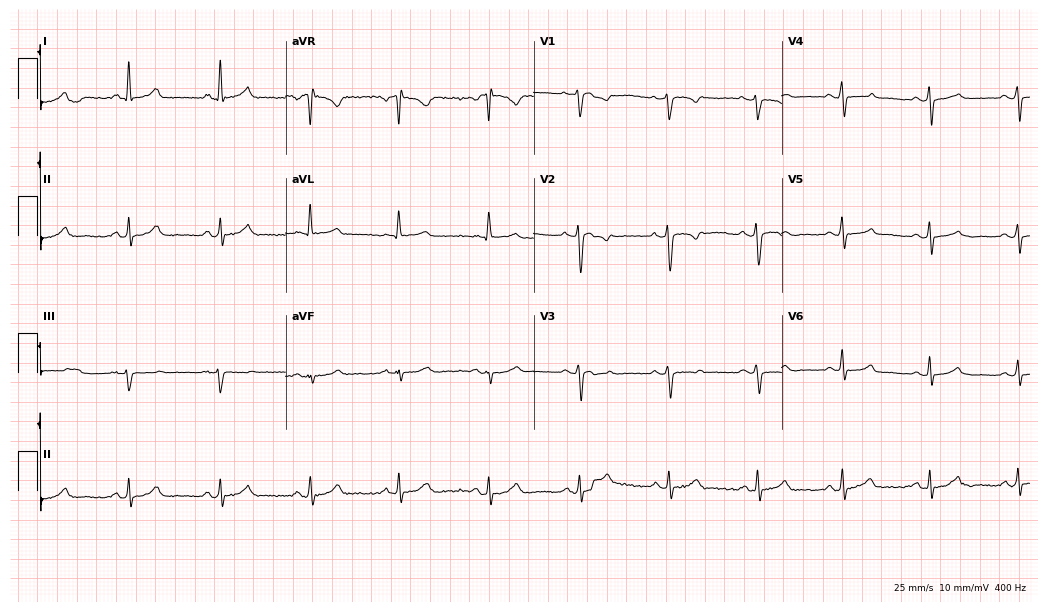
ECG (10.1-second recording at 400 Hz) — a female patient, 60 years old. Labelled as a normal ECG.